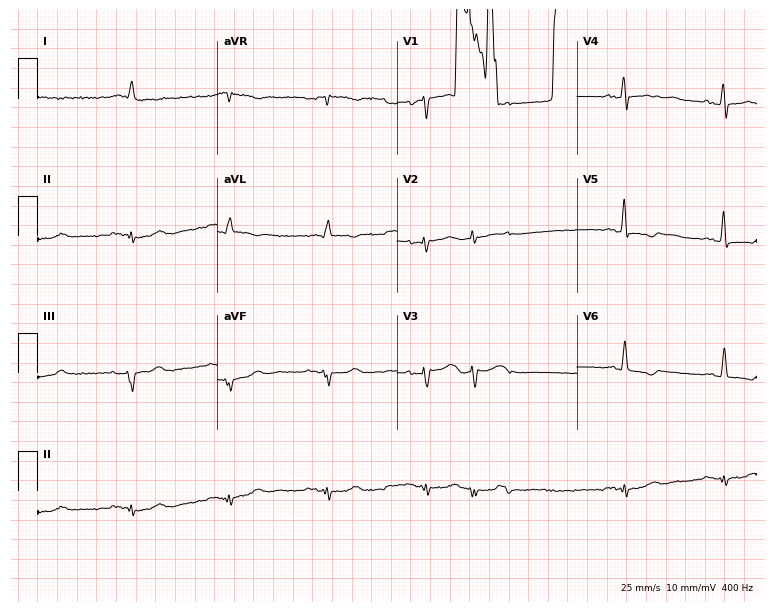
12-lead ECG from a 79-year-old man. No first-degree AV block, right bundle branch block, left bundle branch block, sinus bradycardia, atrial fibrillation or sinus tachycardia recorded for this tracing. Other findings, if any, are not listed.